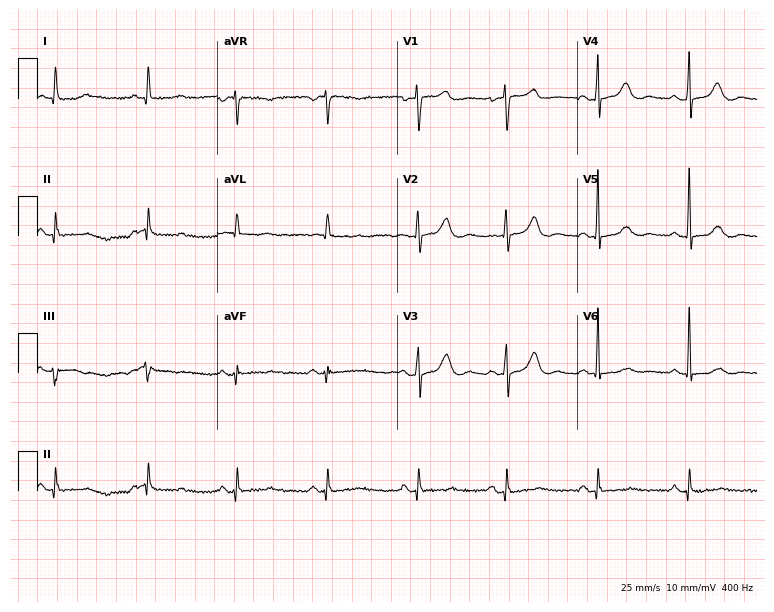
12-lead ECG from a woman, 65 years old. Screened for six findings — first-degree AV block, right bundle branch block (RBBB), left bundle branch block (LBBB), sinus bradycardia, atrial fibrillation (AF), sinus tachycardia — none is recorded. Other findings, if any, are not listed.